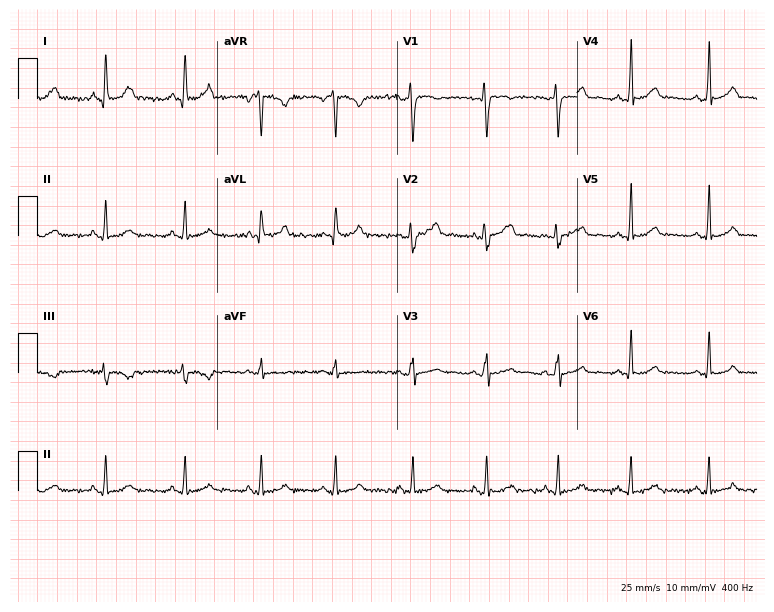
Resting 12-lead electrocardiogram. Patient: a female, 28 years old. Read as a normal ECG.